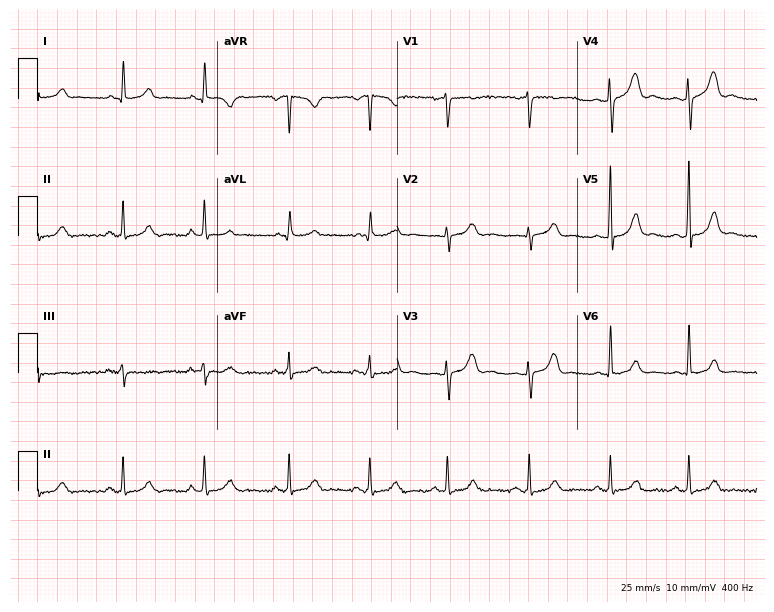
12-lead ECG from a female, 18 years old (7.3-second recording at 400 Hz). Recorded interpretation: within normal limits.